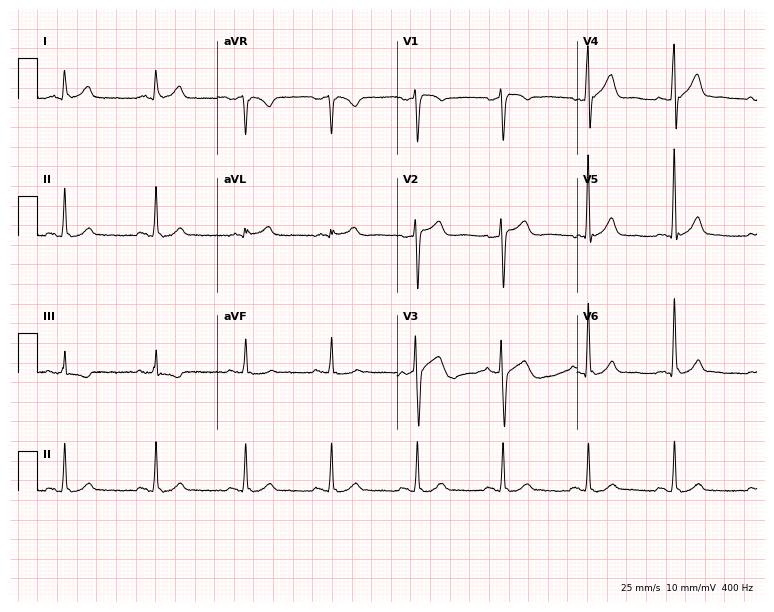
Standard 12-lead ECG recorded from a 54-year-old male (7.3-second recording at 400 Hz). Read as a normal ECG.